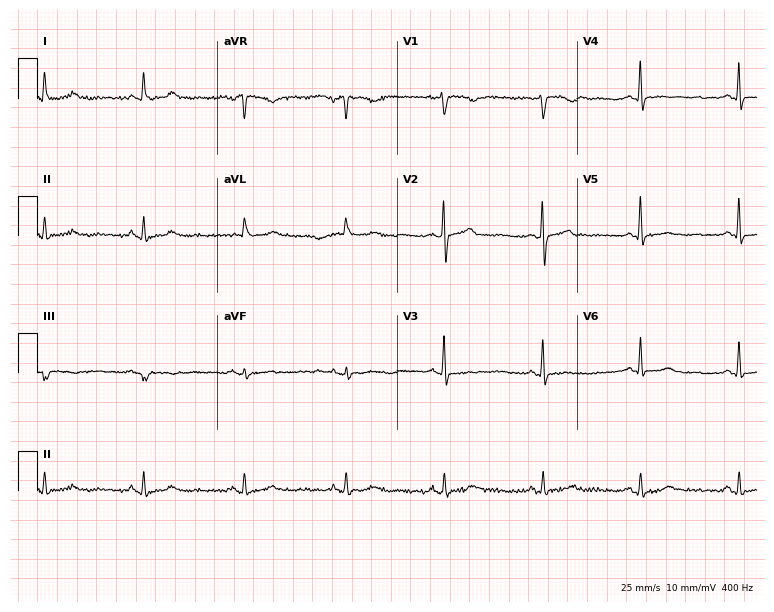
Resting 12-lead electrocardiogram. Patient: a 76-year-old woman. None of these six findings is recorded: first-degree AV block, right bundle branch block, left bundle branch block, sinus bradycardia, atrial fibrillation, sinus tachycardia.